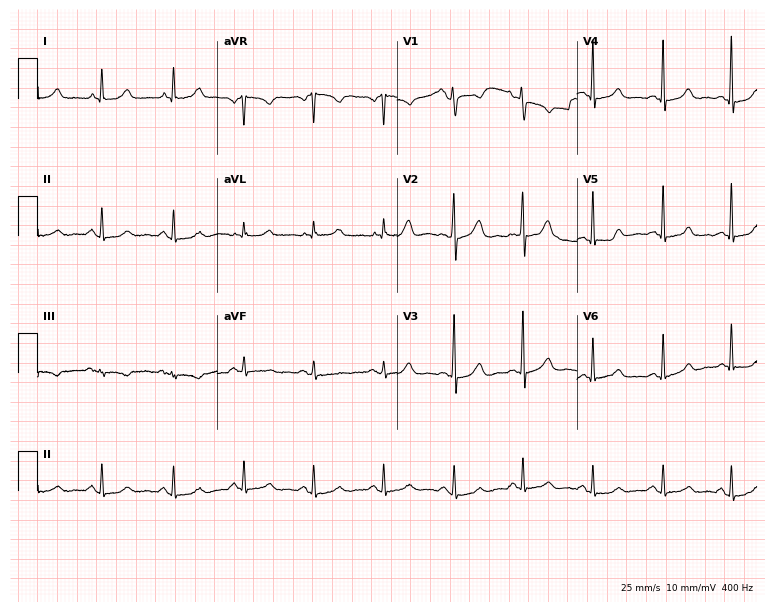
Resting 12-lead electrocardiogram. Patient: a 61-year-old female. None of these six findings is recorded: first-degree AV block, right bundle branch block, left bundle branch block, sinus bradycardia, atrial fibrillation, sinus tachycardia. Other findings, if any, are not listed.